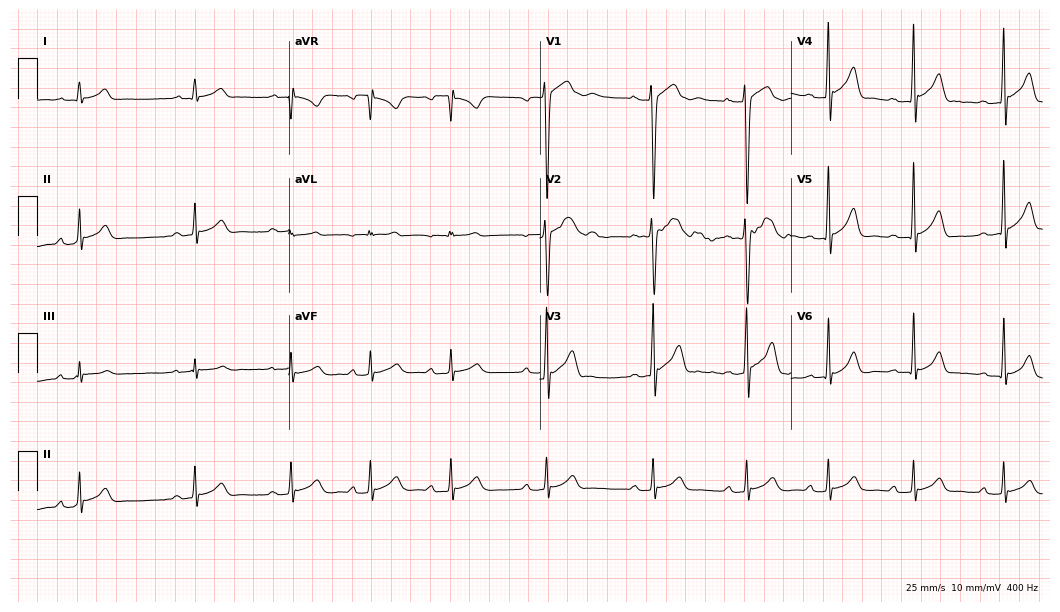
Standard 12-lead ECG recorded from a man, 17 years old (10.2-second recording at 400 Hz). Read as a normal ECG.